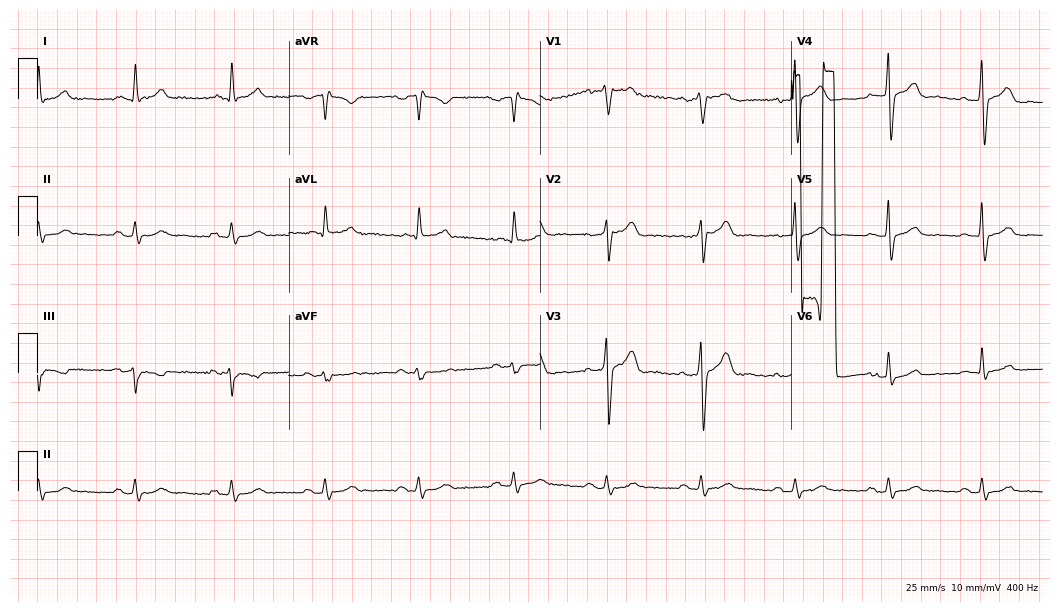
12-lead ECG (10.2-second recording at 400 Hz) from a male, 55 years old. Screened for six findings — first-degree AV block, right bundle branch block, left bundle branch block, sinus bradycardia, atrial fibrillation, sinus tachycardia — none is recorded. Findings outside these six are not listed.